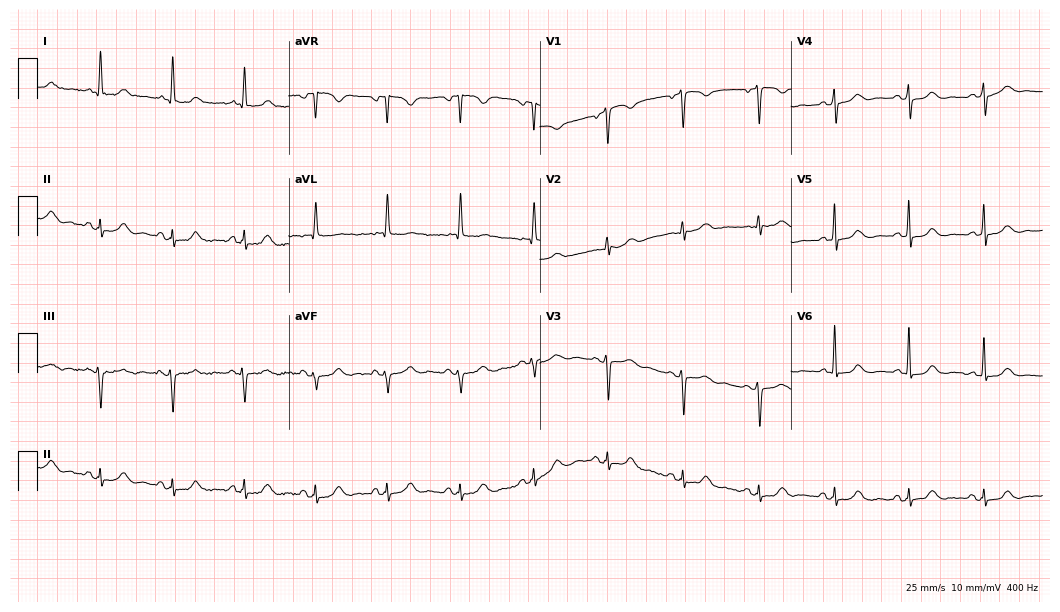
Standard 12-lead ECG recorded from a 76-year-old female patient. Read as a normal ECG.